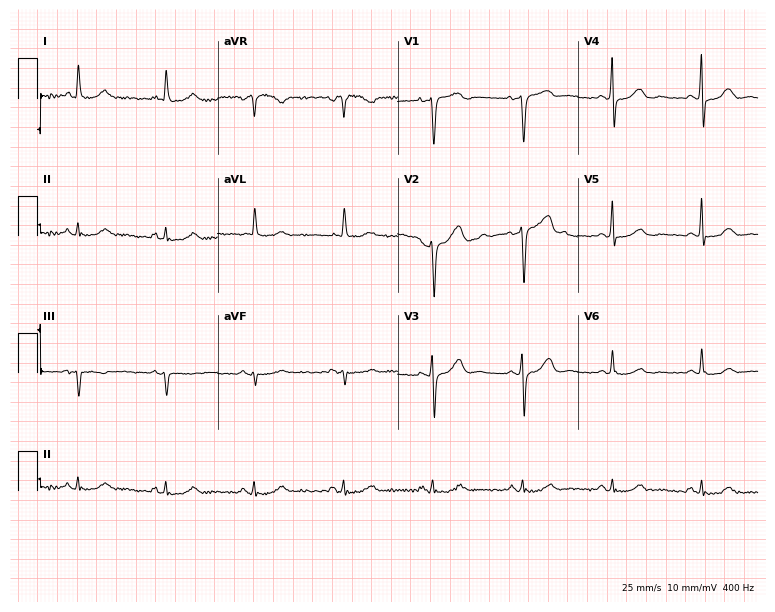
Standard 12-lead ECG recorded from a 65-year-old woman (7.3-second recording at 400 Hz). None of these six findings is recorded: first-degree AV block, right bundle branch block (RBBB), left bundle branch block (LBBB), sinus bradycardia, atrial fibrillation (AF), sinus tachycardia. Only these six findings were labelled.